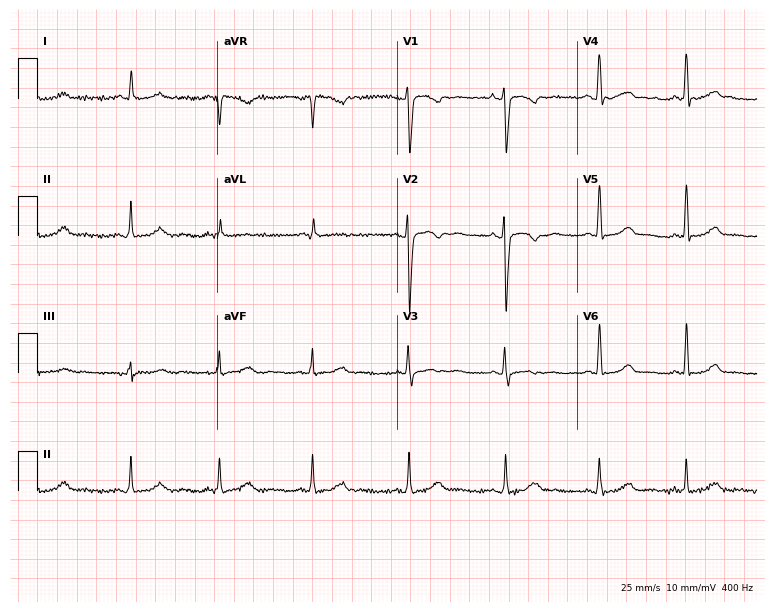
ECG (7.3-second recording at 400 Hz) — a 39-year-old female patient. Labelled as a normal ECG.